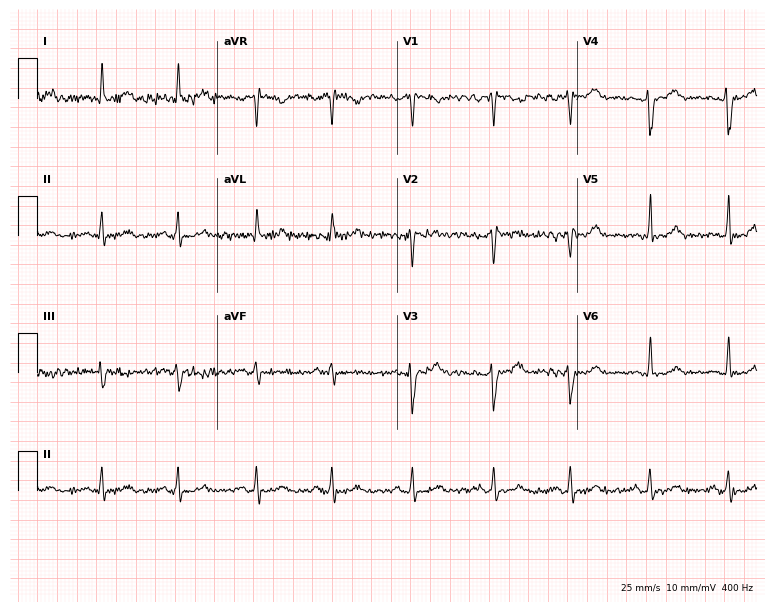
Standard 12-lead ECG recorded from a 45-year-old female patient. None of these six findings is recorded: first-degree AV block, right bundle branch block (RBBB), left bundle branch block (LBBB), sinus bradycardia, atrial fibrillation (AF), sinus tachycardia.